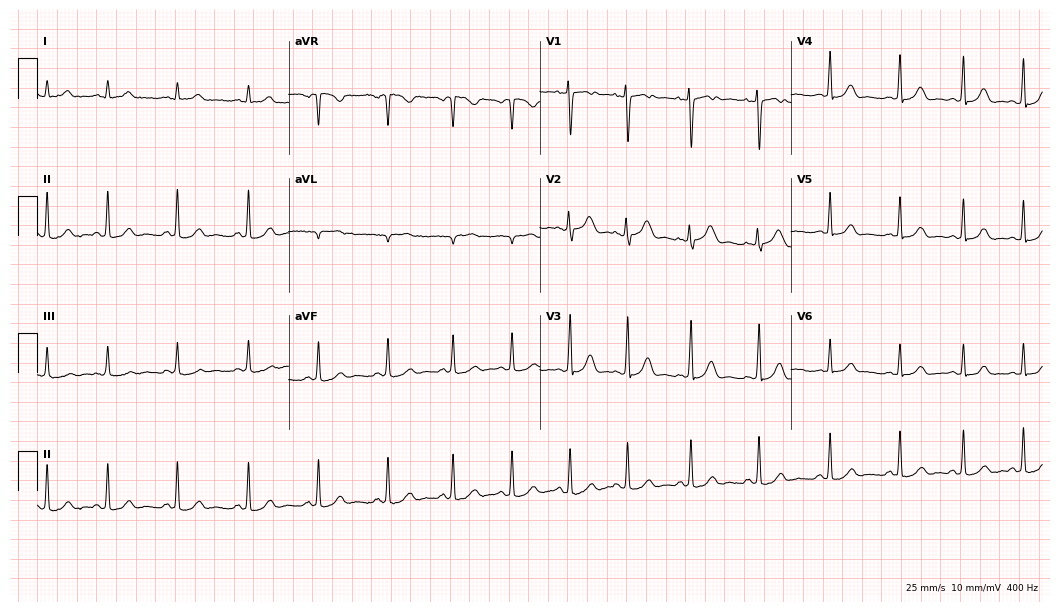
Resting 12-lead electrocardiogram (10.2-second recording at 400 Hz). Patient: a 27-year-old female. Read as a normal ECG.